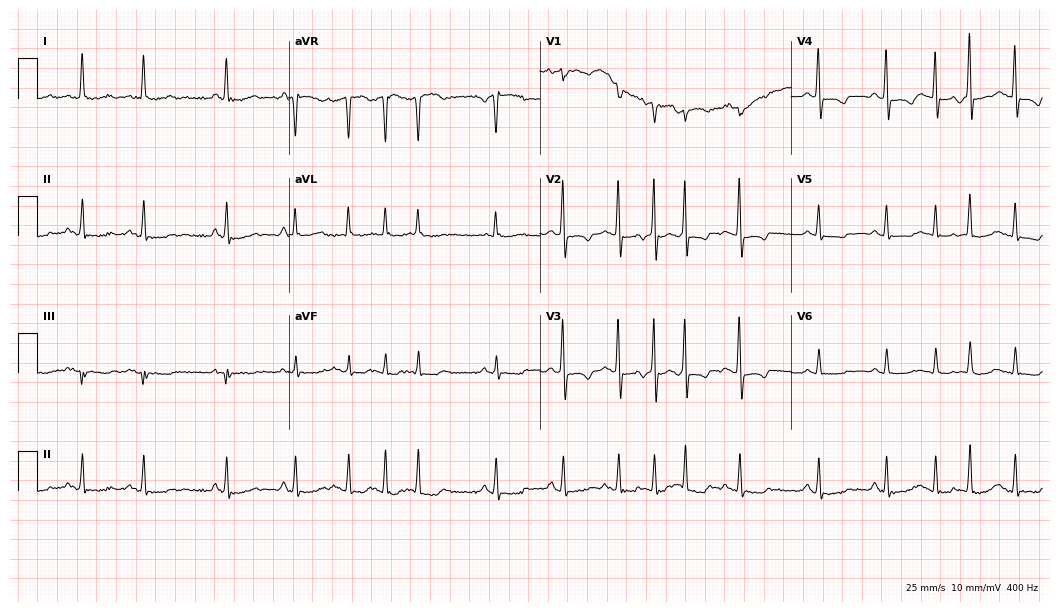
Standard 12-lead ECG recorded from a 48-year-old woman. None of these six findings is recorded: first-degree AV block, right bundle branch block, left bundle branch block, sinus bradycardia, atrial fibrillation, sinus tachycardia.